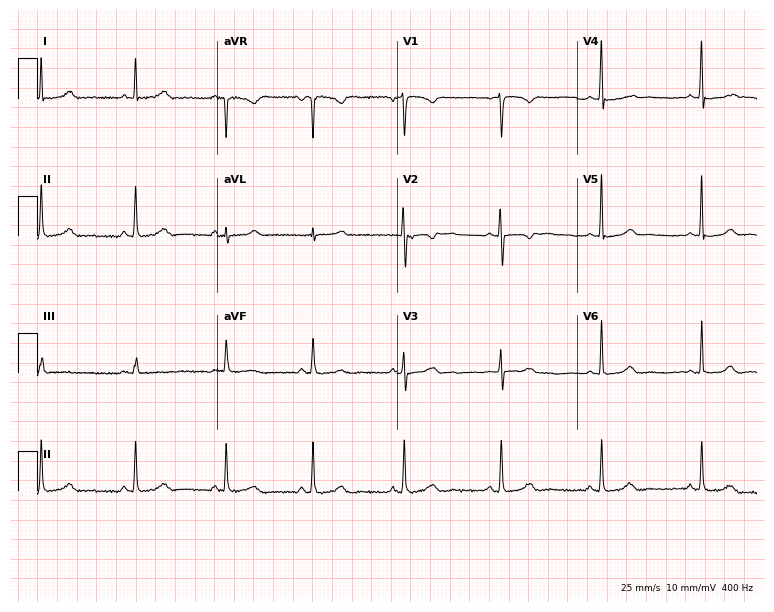
ECG (7.3-second recording at 400 Hz) — a female patient, 35 years old. Screened for six findings — first-degree AV block, right bundle branch block, left bundle branch block, sinus bradycardia, atrial fibrillation, sinus tachycardia — none is recorded. Only these six findings were labelled.